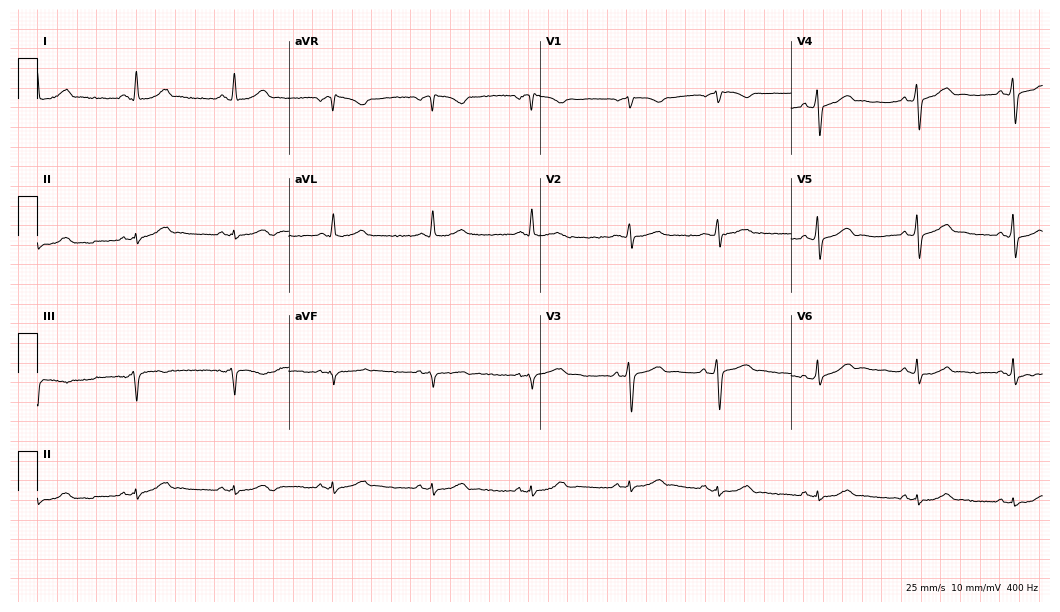
Electrocardiogram (10.2-second recording at 400 Hz), a 53-year-old man. Overall reading on record: normal ECG.